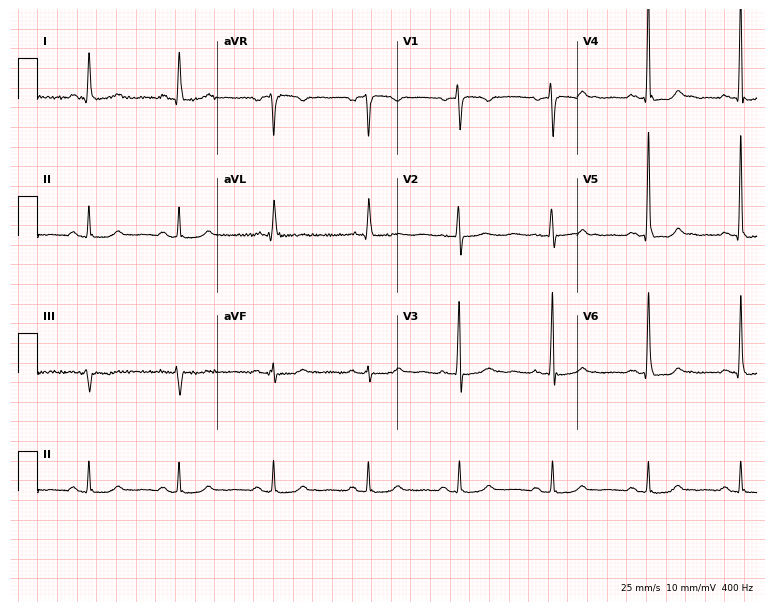
ECG (7.3-second recording at 400 Hz) — an 80-year-old female patient. Screened for six findings — first-degree AV block, right bundle branch block (RBBB), left bundle branch block (LBBB), sinus bradycardia, atrial fibrillation (AF), sinus tachycardia — none is recorded. Findings outside these six are not listed.